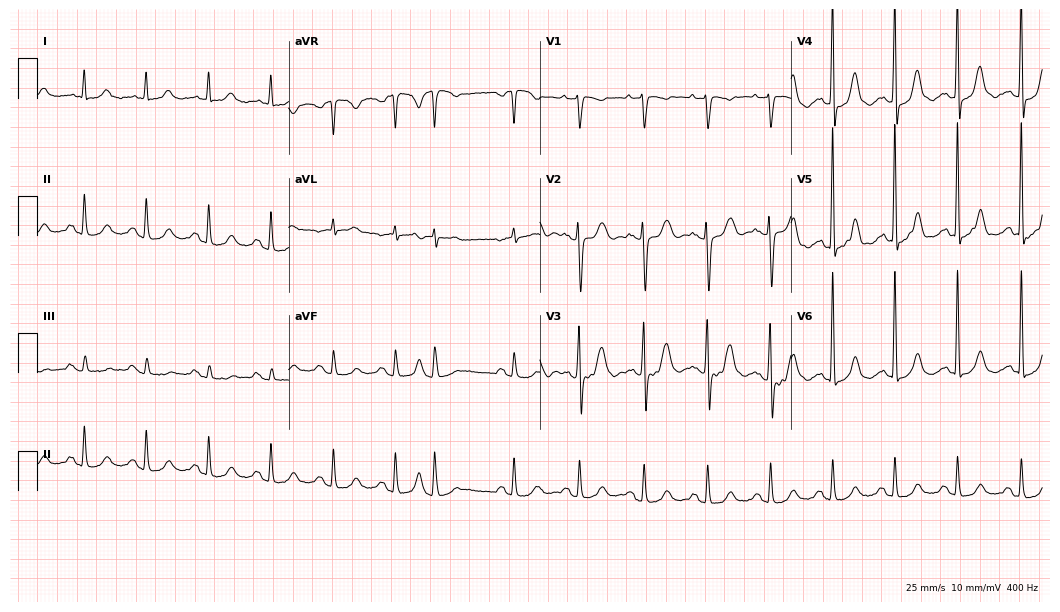
Resting 12-lead electrocardiogram. Patient: a 71-year-old female. None of these six findings is recorded: first-degree AV block, right bundle branch block, left bundle branch block, sinus bradycardia, atrial fibrillation, sinus tachycardia. Only these six findings were labelled.